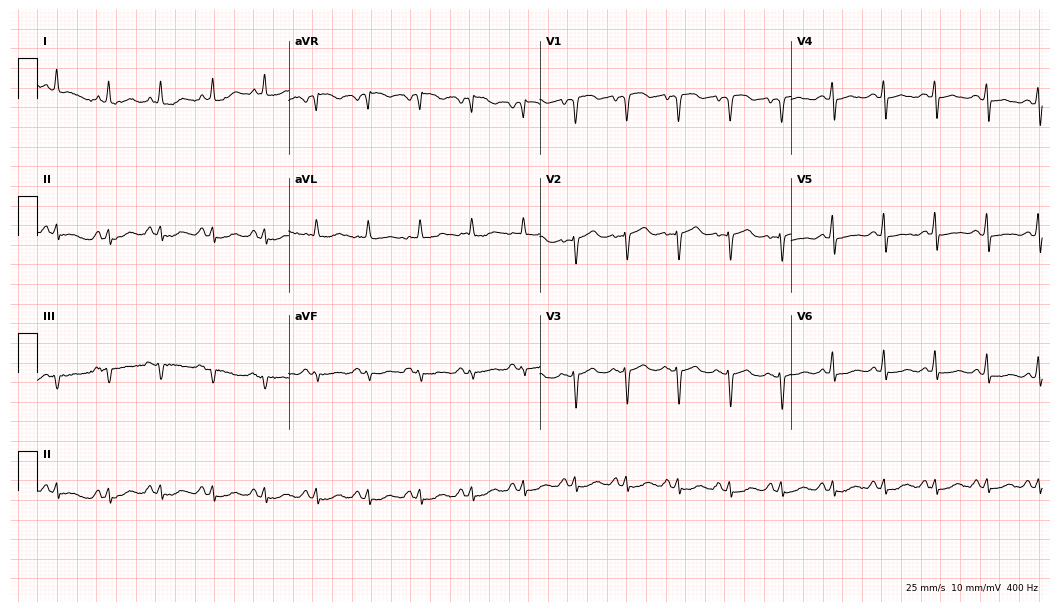
Electrocardiogram (10.2-second recording at 400 Hz), a 69-year-old female patient. Interpretation includes sinus tachycardia (a sinus rate of 100 beats per minute or more).